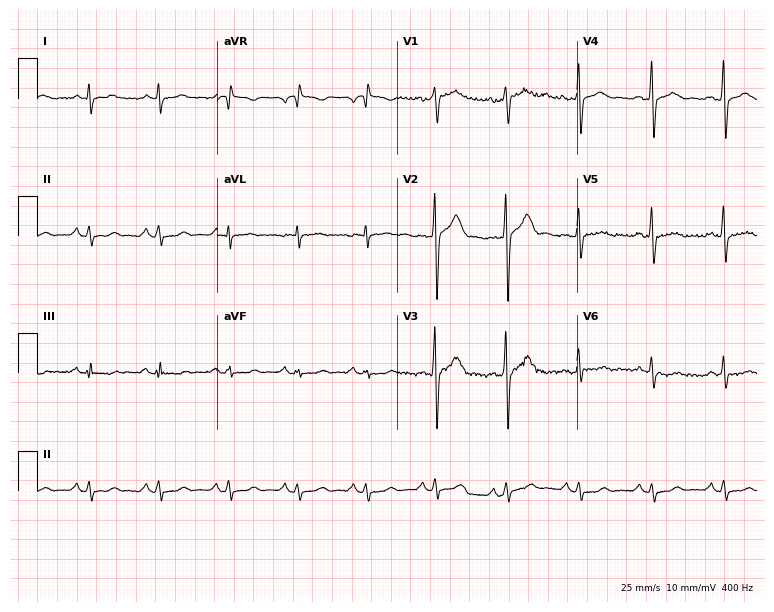
Resting 12-lead electrocardiogram. Patient: a 43-year-old male. None of these six findings is recorded: first-degree AV block, right bundle branch block, left bundle branch block, sinus bradycardia, atrial fibrillation, sinus tachycardia. Only these six findings were labelled.